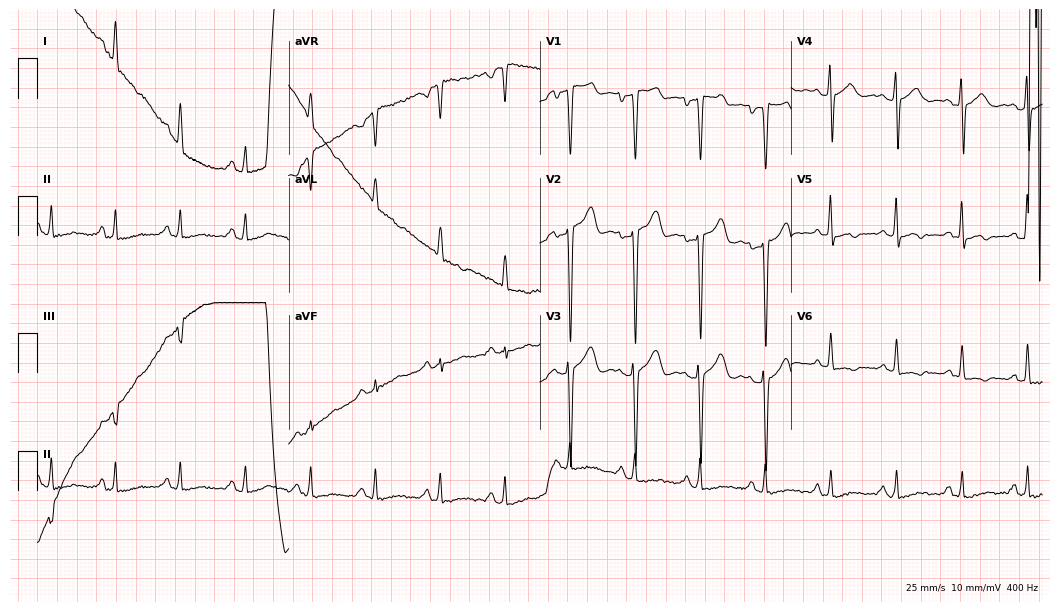
Resting 12-lead electrocardiogram (10.2-second recording at 400 Hz). Patient: a male, 53 years old. None of these six findings is recorded: first-degree AV block, right bundle branch block (RBBB), left bundle branch block (LBBB), sinus bradycardia, atrial fibrillation (AF), sinus tachycardia. Other findings, if any, are not listed.